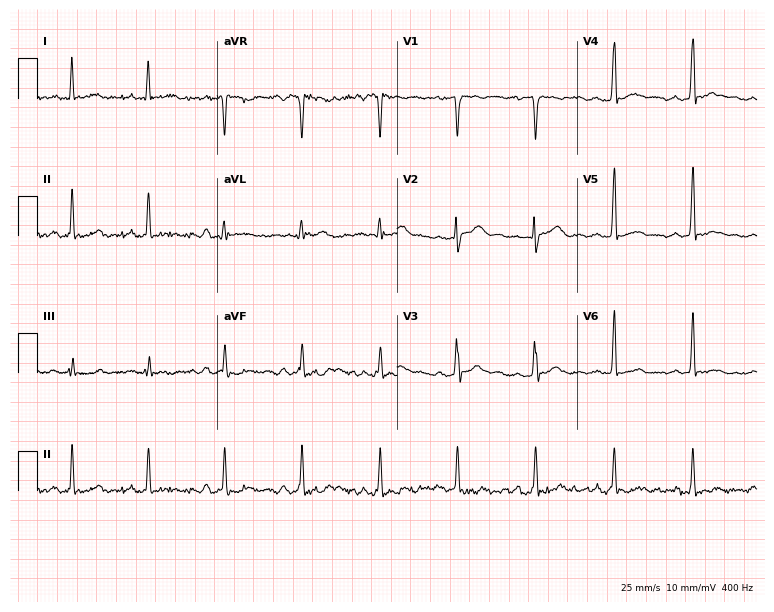
Electrocardiogram, a man, 29 years old. Overall reading on record: normal ECG.